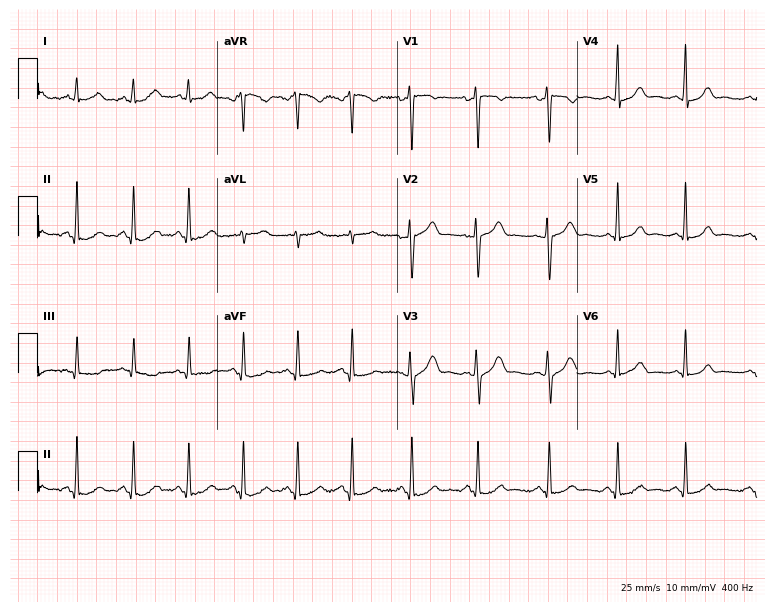
12-lead ECG from a woman, 25 years old (7.3-second recording at 400 Hz). No first-degree AV block, right bundle branch block, left bundle branch block, sinus bradycardia, atrial fibrillation or sinus tachycardia recorded for this tracing.